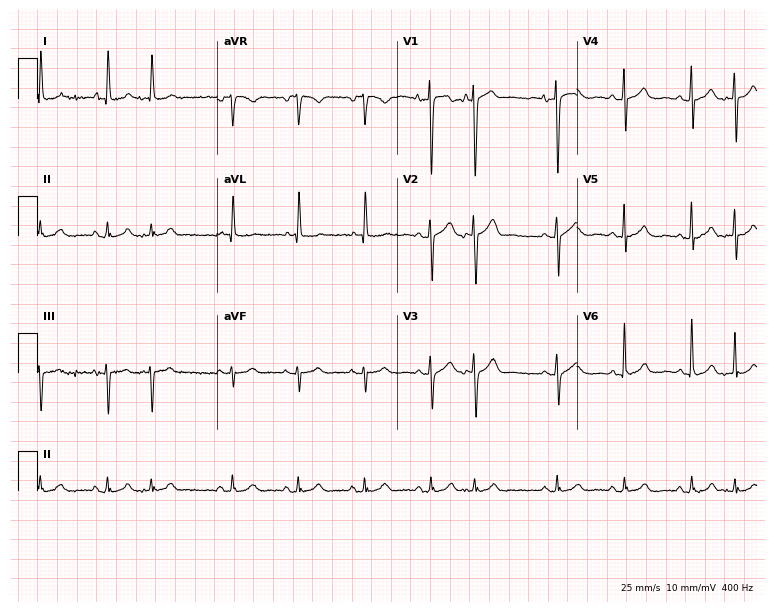
ECG (7.3-second recording at 400 Hz) — an 81-year-old female patient. Screened for six findings — first-degree AV block, right bundle branch block (RBBB), left bundle branch block (LBBB), sinus bradycardia, atrial fibrillation (AF), sinus tachycardia — none is recorded.